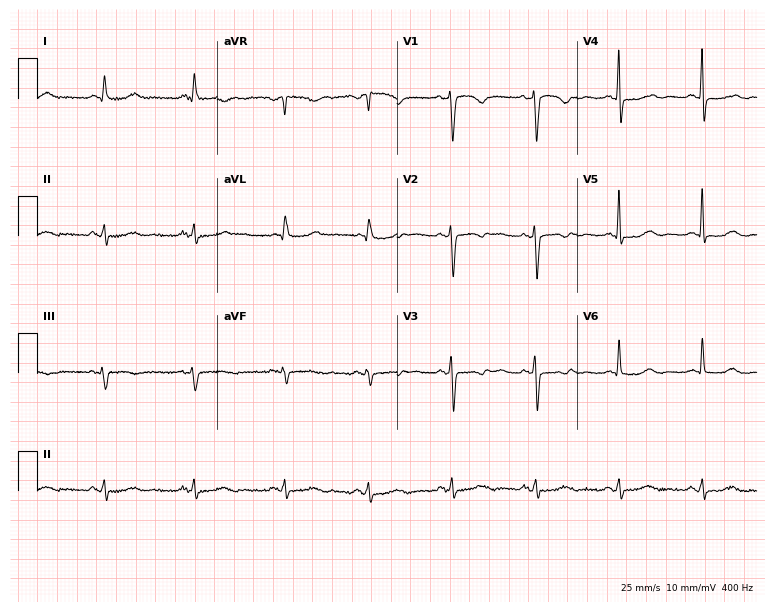
Electrocardiogram (7.3-second recording at 400 Hz), a female, 66 years old. Of the six screened findings (first-degree AV block, right bundle branch block (RBBB), left bundle branch block (LBBB), sinus bradycardia, atrial fibrillation (AF), sinus tachycardia), none is recorded.